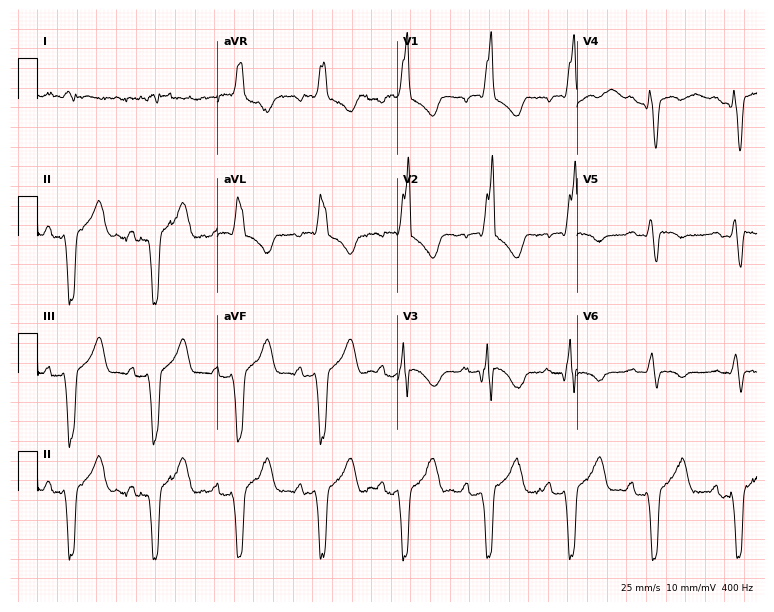
ECG — a man, 69 years old. Findings include right bundle branch block.